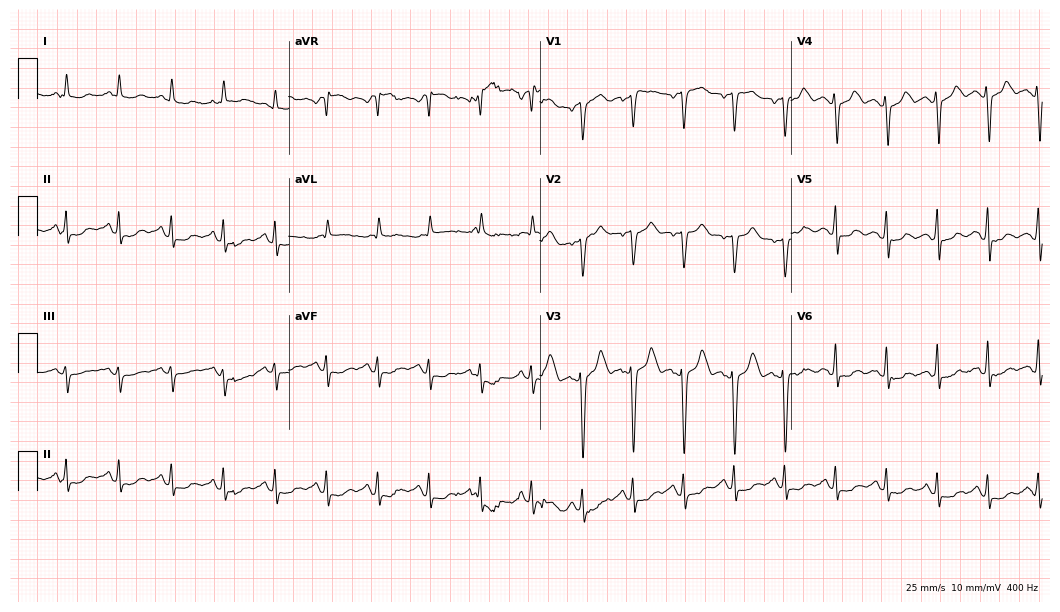
Electrocardiogram, a female patient, 50 years old. Interpretation includes sinus tachycardia (a sinus rate of 100 beats per minute or more).